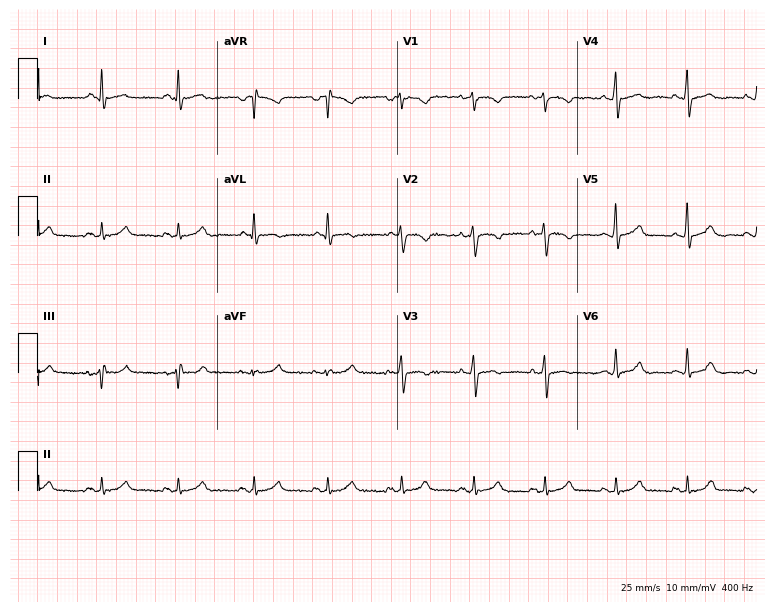
12-lead ECG from a 63-year-old man. Screened for six findings — first-degree AV block, right bundle branch block, left bundle branch block, sinus bradycardia, atrial fibrillation, sinus tachycardia — none is recorded.